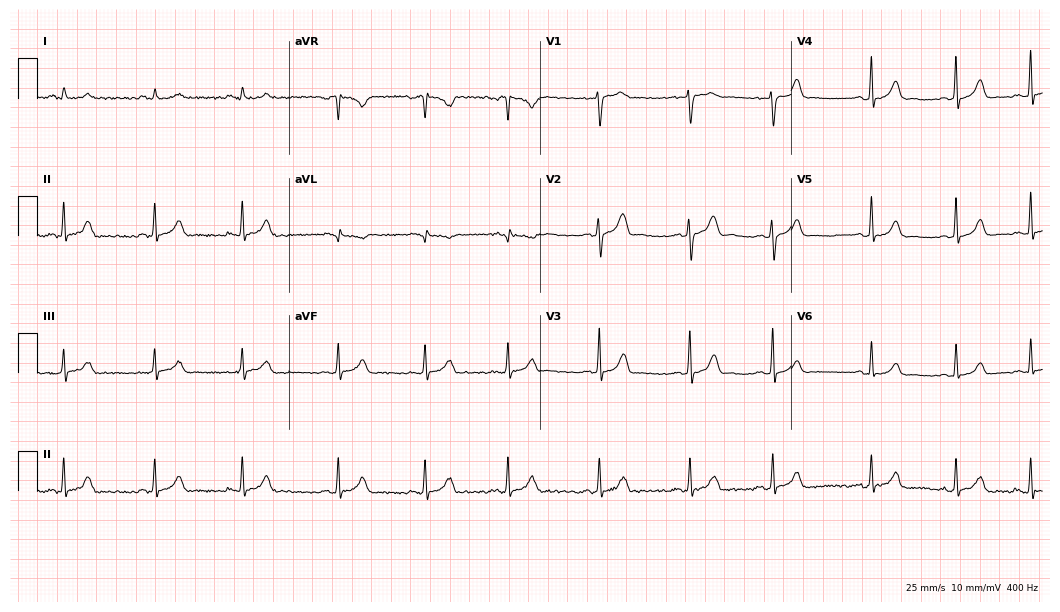
ECG — a woman, 18 years old. Labelled as a normal ECG.